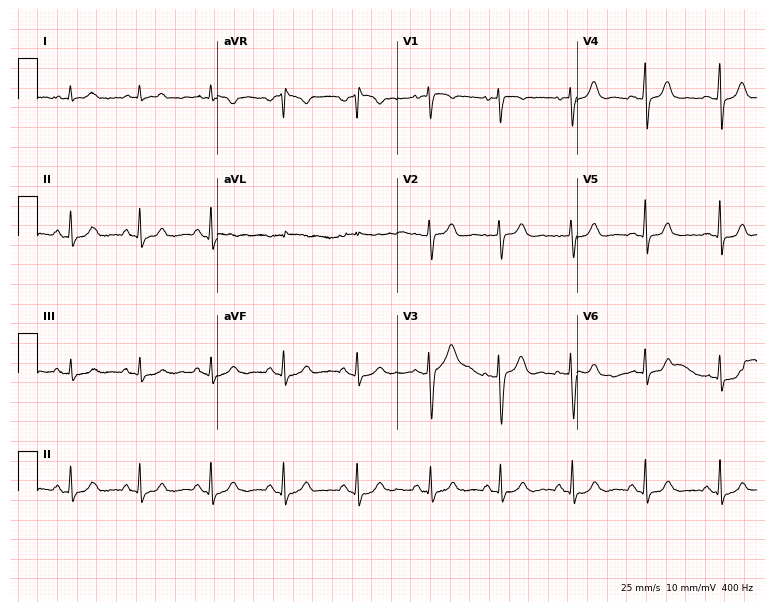
12-lead ECG from a woman, 52 years old. Recorded interpretation: within normal limits.